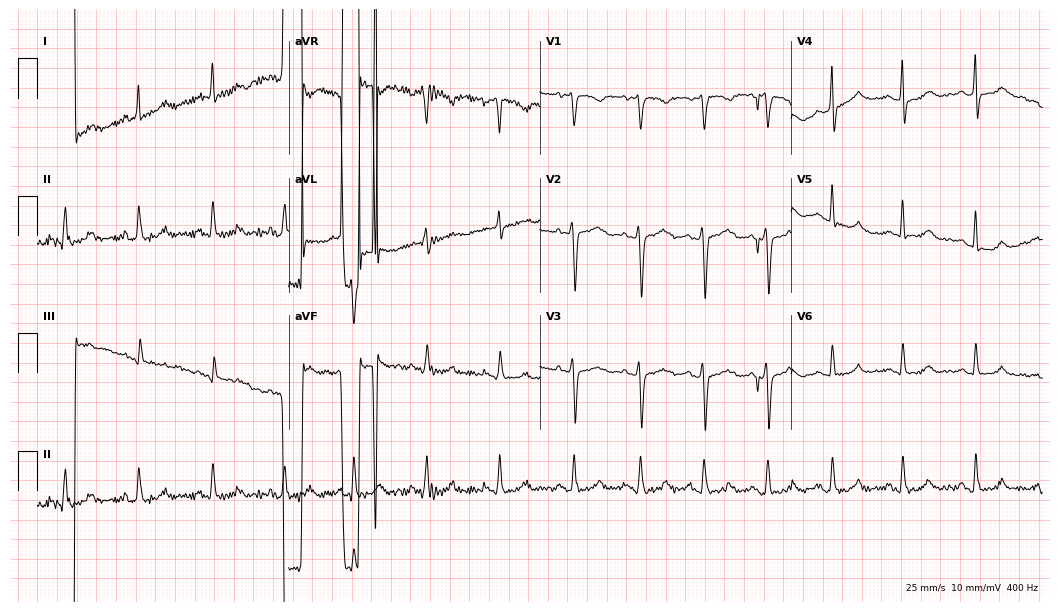
Standard 12-lead ECG recorded from a 28-year-old female. None of these six findings is recorded: first-degree AV block, right bundle branch block (RBBB), left bundle branch block (LBBB), sinus bradycardia, atrial fibrillation (AF), sinus tachycardia.